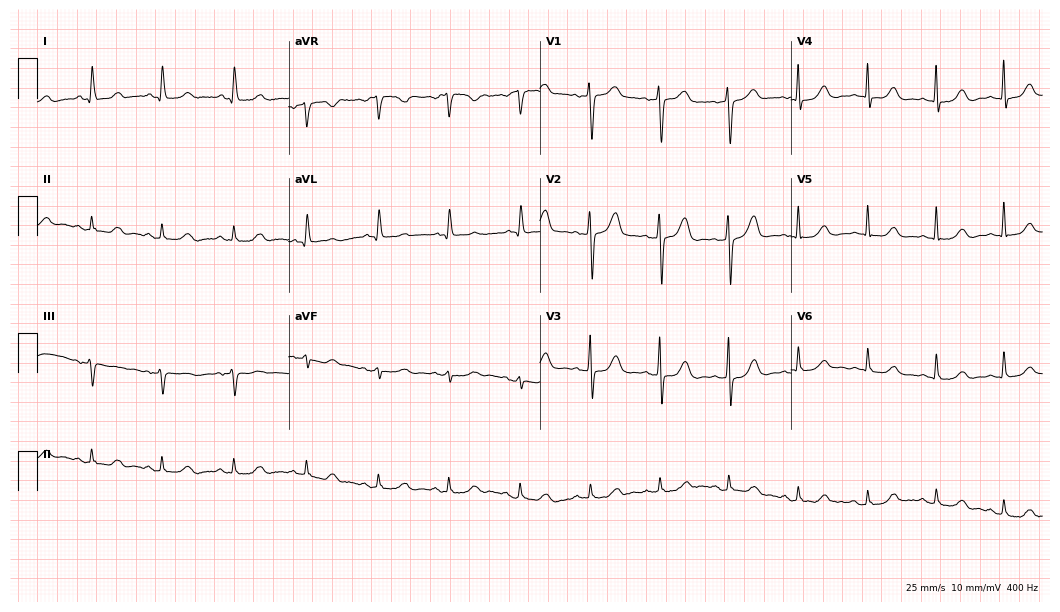
Resting 12-lead electrocardiogram (10.2-second recording at 400 Hz). Patient: a woman, 75 years old. Read as a normal ECG.